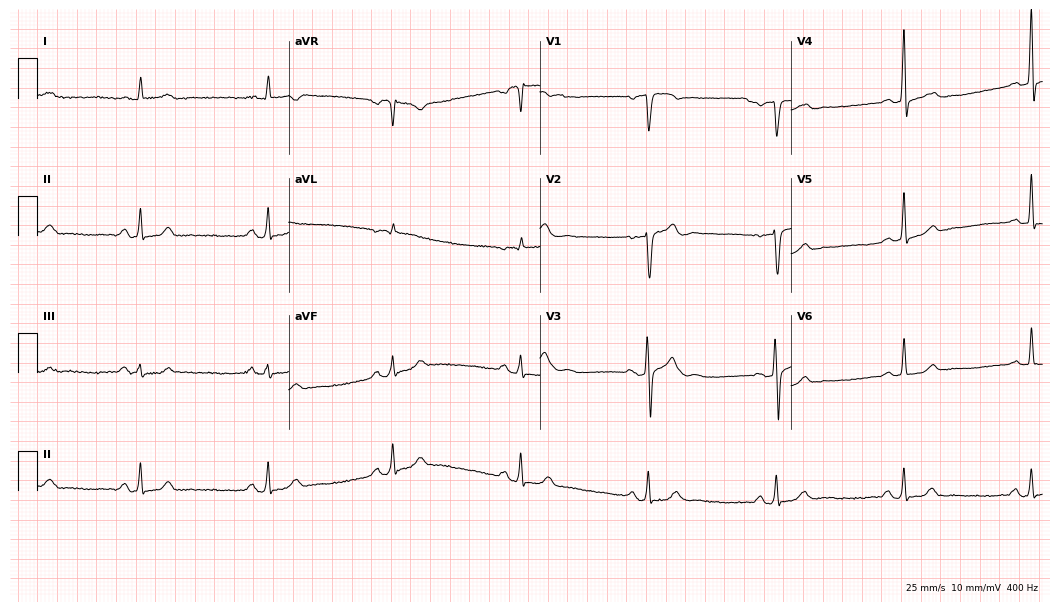
Standard 12-lead ECG recorded from a 38-year-old man. The tracing shows sinus bradycardia (a sinus rate of 50 beats per minute or less).